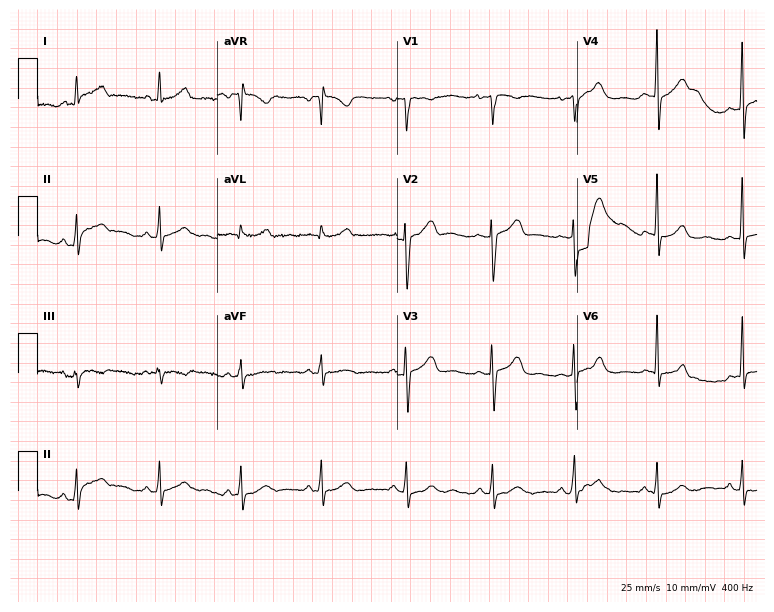
Standard 12-lead ECG recorded from a 33-year-old female. None of these six findings is recorded: first-degree AV block, right bundle branch block, left bundle branch block, sinus bradycardia, atrial fibrillation, sinus tachycardia.